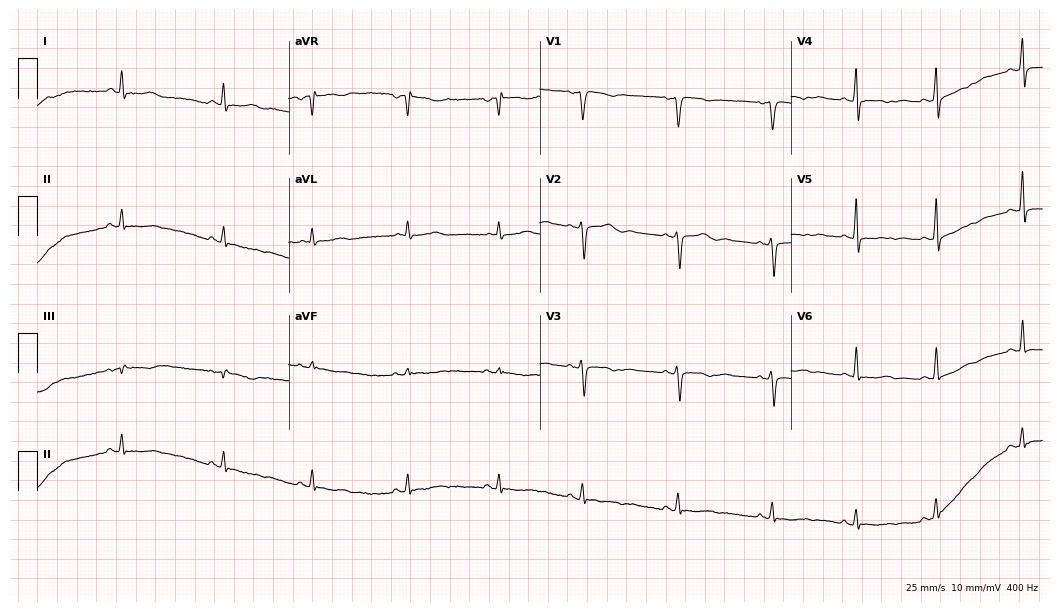
Electrocardiogram (10.2-second recording at 400 Hz), a female patient, 40 years old. Of the six screened findings (first-degree AV block, right bundle branch block, left bundle branch block, sinus bradycardia, atrial fibrillation, sinus tachycardia), none is recorded. Other findings, if any, are not listed.